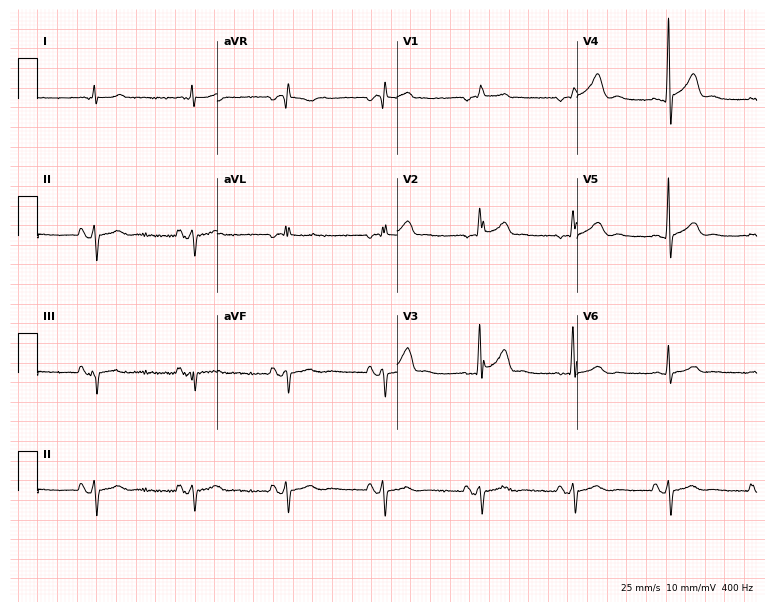
Electrocardiogram, a male, 63 years old. Of the six screened findings (first-degree AV block, right bundle branch block (RBBB), left bundle branch block (LBBB), sinus bradycardia, atrial fibrillation (AF), sinus tachycardia), none is recorded. Only these six findings were labelled.